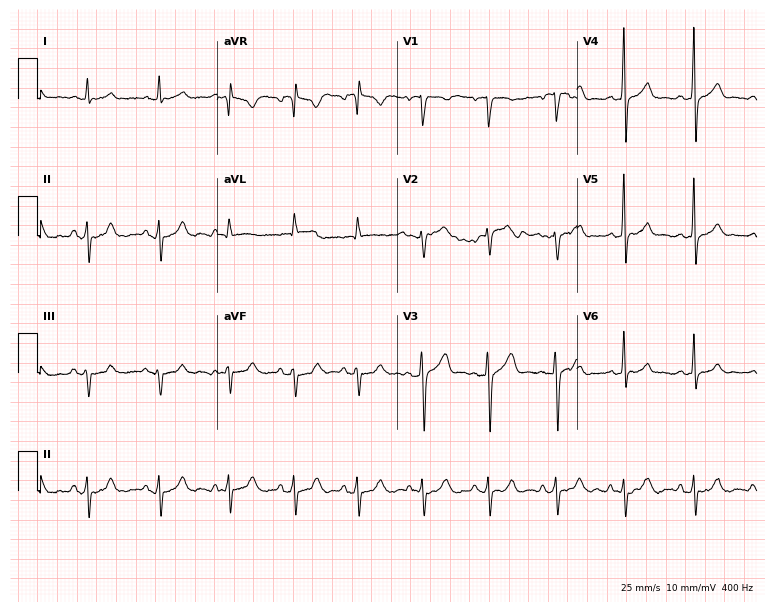
Standard 12-lead ECG recorded from a 56-year-old male patient (7.3-second recording at 400 Hz). None of these six findings is recorded: first-degree AV block, right bundle branch block, left bundle branch block, sinus bradycardia, atrial fibrillation, sinus tachycardia.